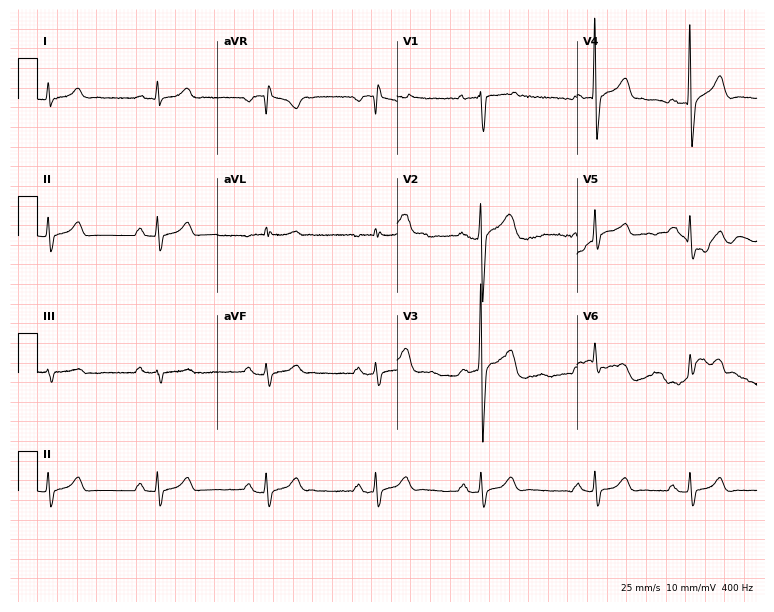
Electrocardiogram (7.3-second recording at 400 Hz), a 25-year-old male. Overall reading on record: normal ECG.